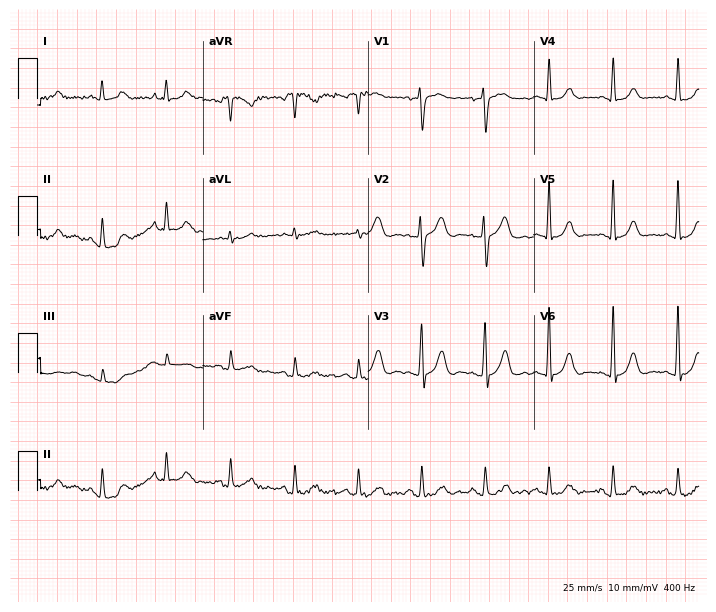
12-lead ECG from a female, 58 years old. Recorded interpretation: within normal limits.